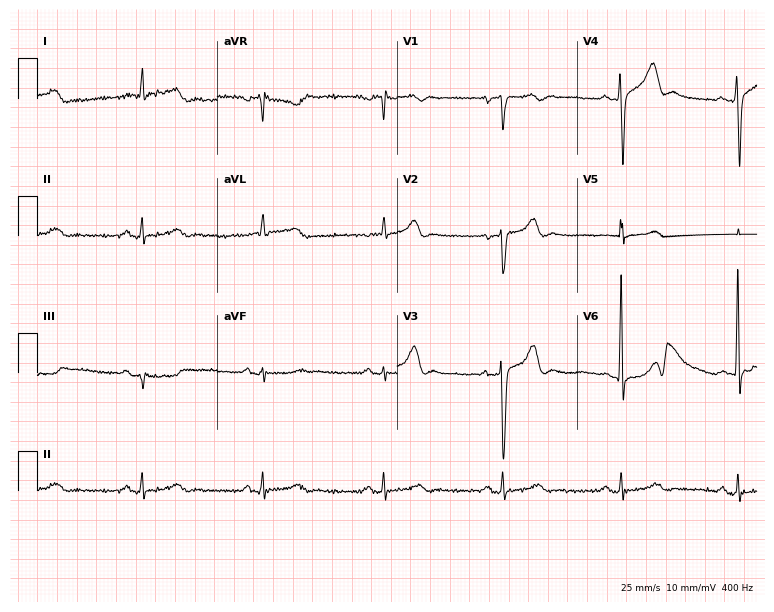
ECG — a male patient, 74 years old. Findings include sinus bradycardia (a sinus rate of 50 beats per minute or less).